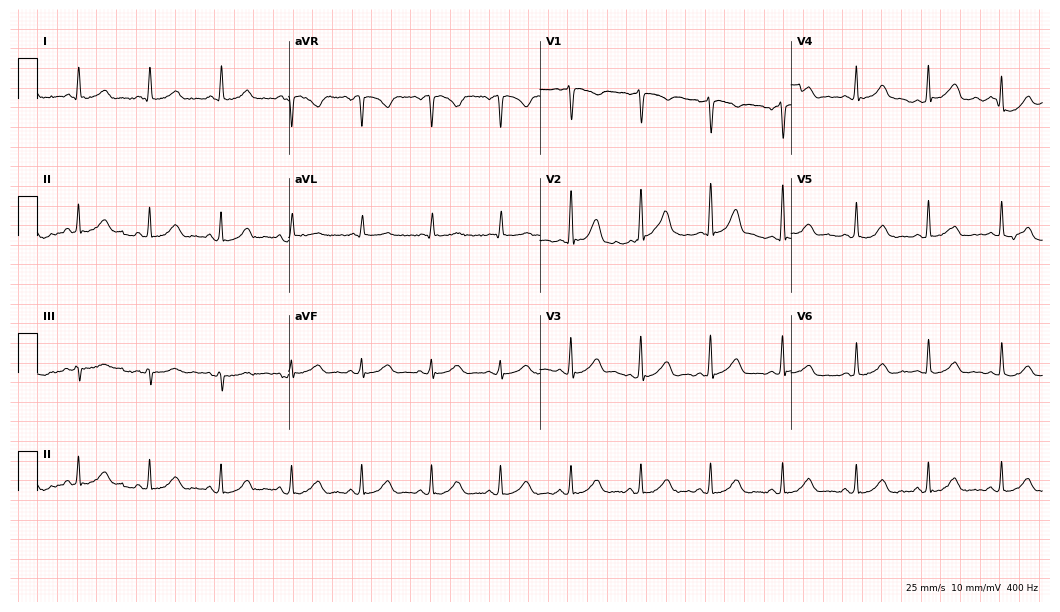
12-lead ECG from a male patient, 53 years old. Screened for six findings — first-degree AV block, right bundle branch block, left bundle branch block, sinus bradycardia, atrial fibrillation, sinus tachycardia — none is recorded.